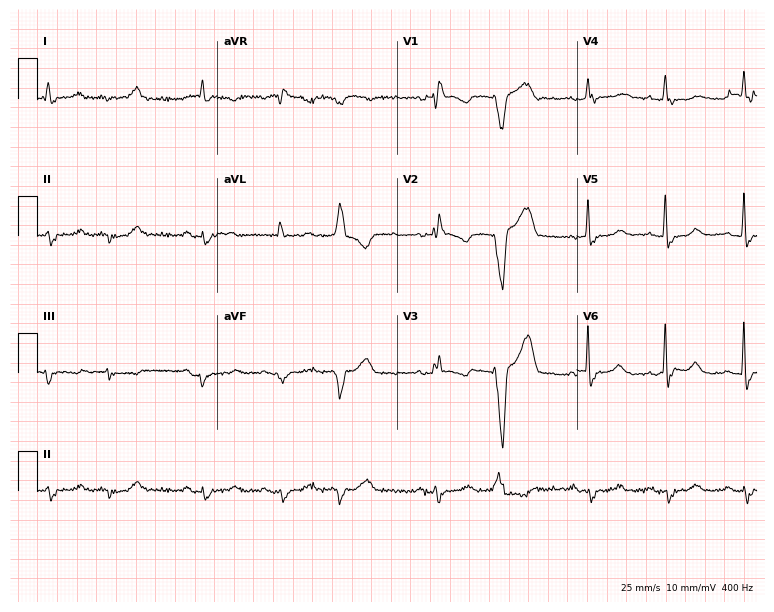
12-lead ECG from an 84-year-old woman. Shows right bundle branch block (RBBB).